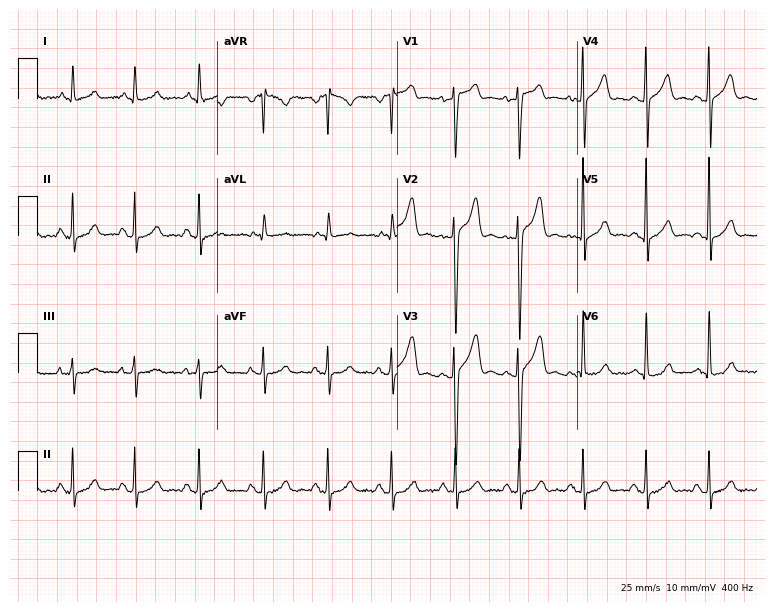
Resting 12-lead electrocardiogram. Patient: a 41-year-old male. Read as a normal ECG.